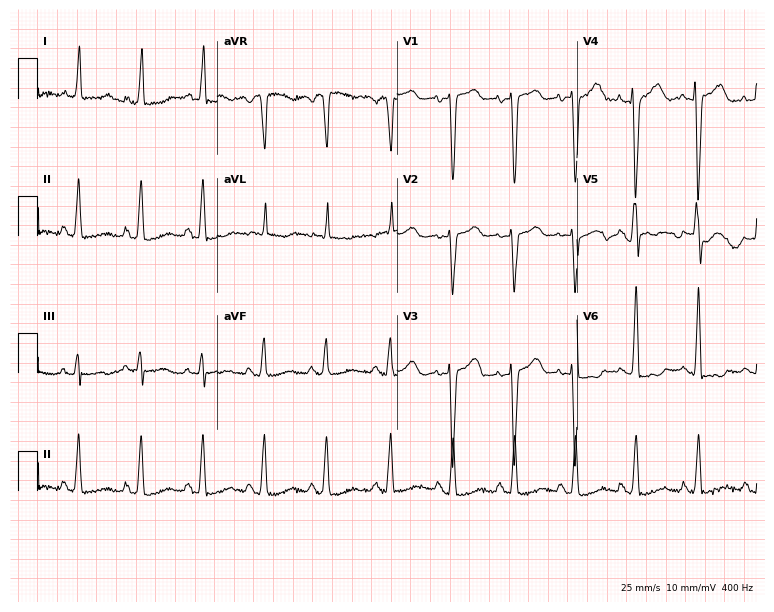
ECG — a 58-year-old woman. Screened for six findings — first-degree AV block, right bundle branch block (RBBB), left bundle branch block (LBBB), sinus bradycardia, atrial fibrillation (AF), sinus tachycardia — none is recorded.